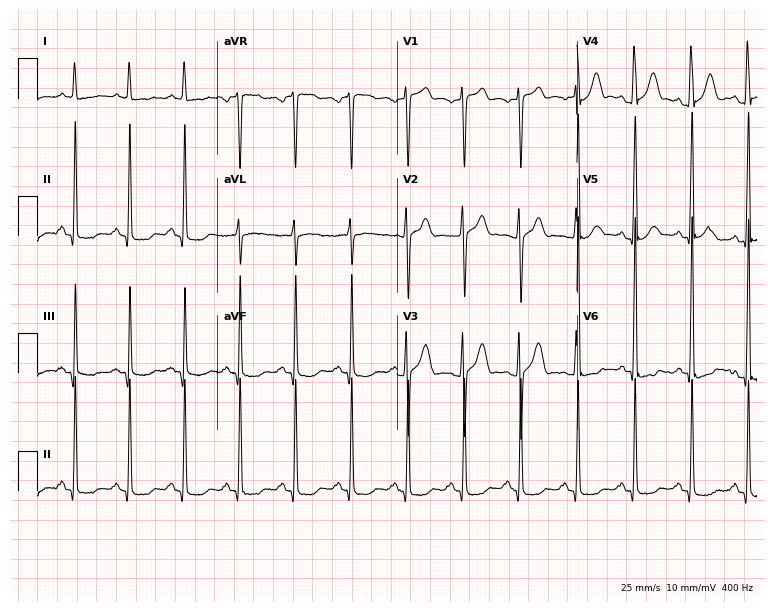
Resting 12-lead electrocardiogram (7.3-second recording at 400 Hz). Patient: a 62-year-old male. None of these six findings is recorded: first-degree AV block, right bundle branch block, left bundle branch block, sinus bradycardia, atrial fibrillation, sinus tachycardia. Only these six findings were labelled.